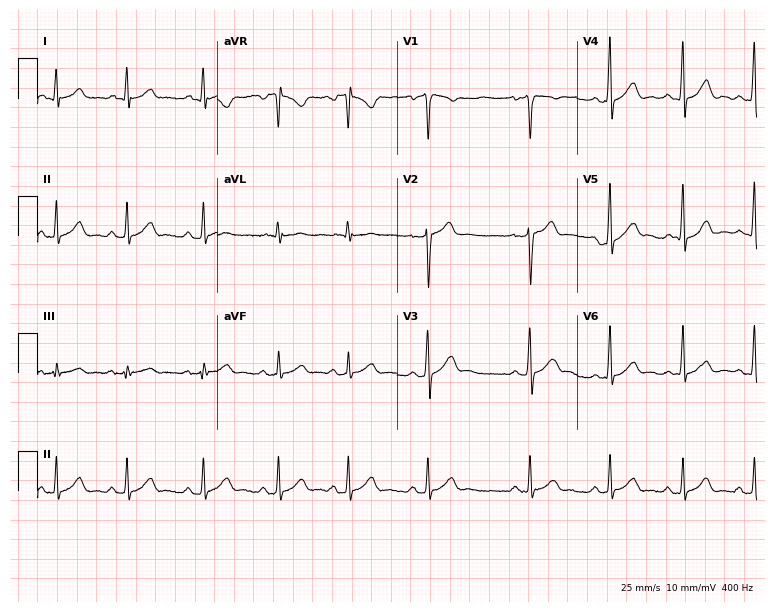
Resting 12-lead electrocardiogram (7.3-second recording at 400 Hz). Patient: a 33-year-old male. Read as a normal ECG.